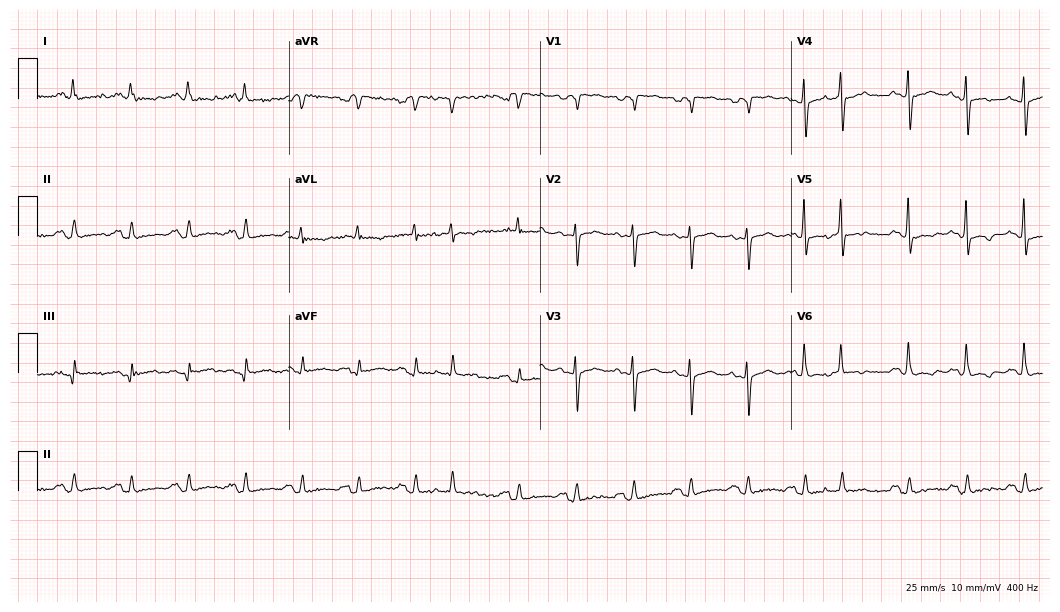
Resting 12-lead electrocardiogram (10.2-second recording at 400 Hz). Patient: a 68-year-old female. The tracing shows sinus tachycardia (a sinus rate of 100 beats per minute or more).